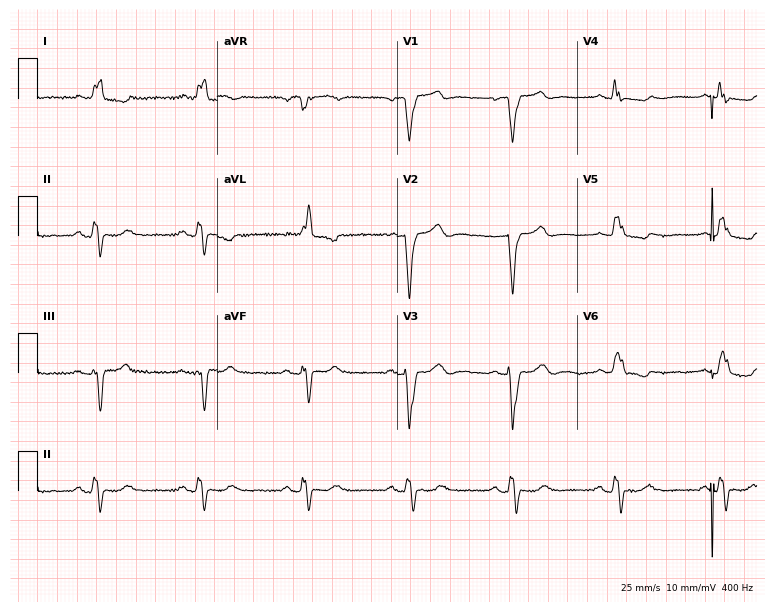
Resting 12-lead electrocardiogram (7.3-second recording at 400 Hz). Patient: a female, 84 years old. The tracing shows left bundle branch block (LBBB).